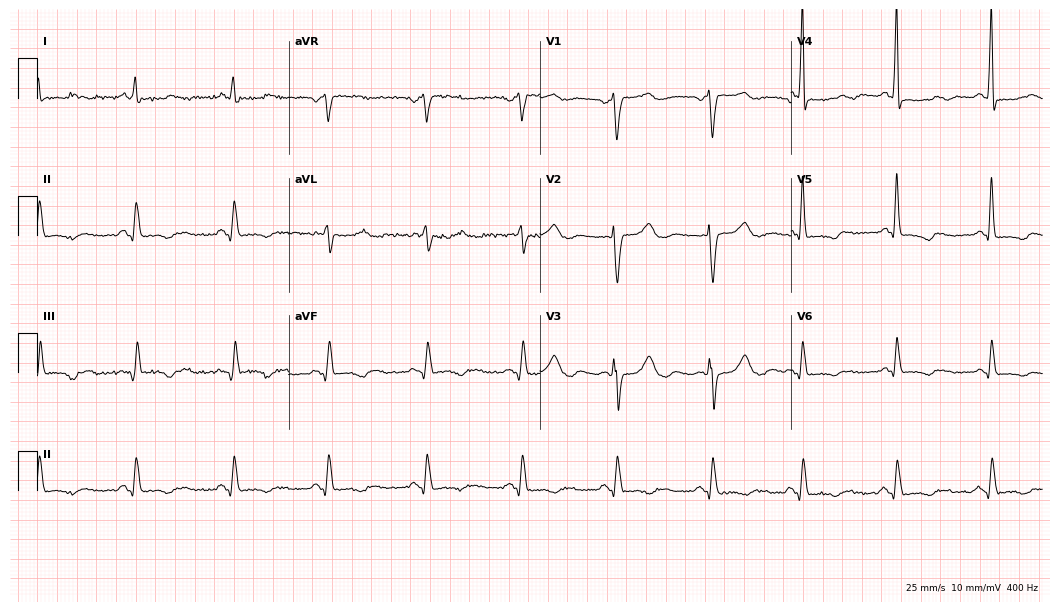
Standard 12-lead ECG recorded from a 48-year-old female. None of these six findings is recorded: first-degree AV block, right bundle branch block (RBBB), left bundle branch block (LBBB), sinus bradycardia, atrial fibrillation (AF), sinus tachycardia.